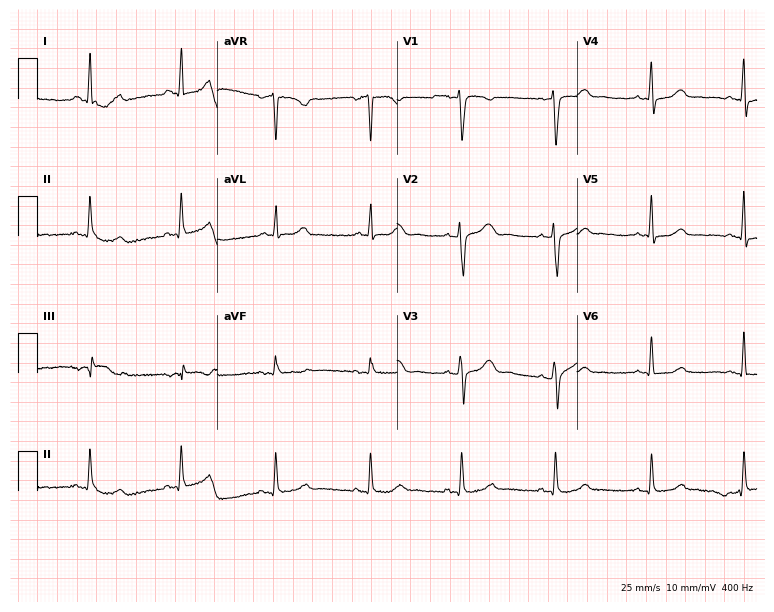
12-lead ECG from a female, 55 years old. Labelled as a normal ECG.